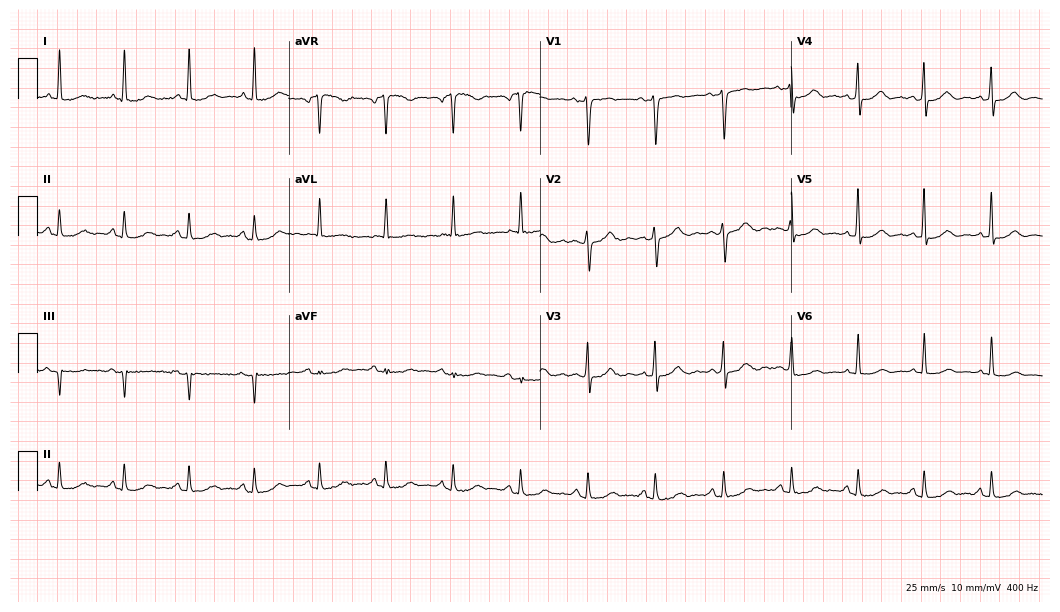
Electrocardiogram (10.2-second recording at 400 Hz), a woman, 75 years old. Of the six screened findings (first-degree AV block, right bundle branch block (RBBB), left bundle branch block (LBBB), sinus bradycardia, atrial fibrillation (AF), sinus tachycardia), none is recorded. Only these six findings were labelled.